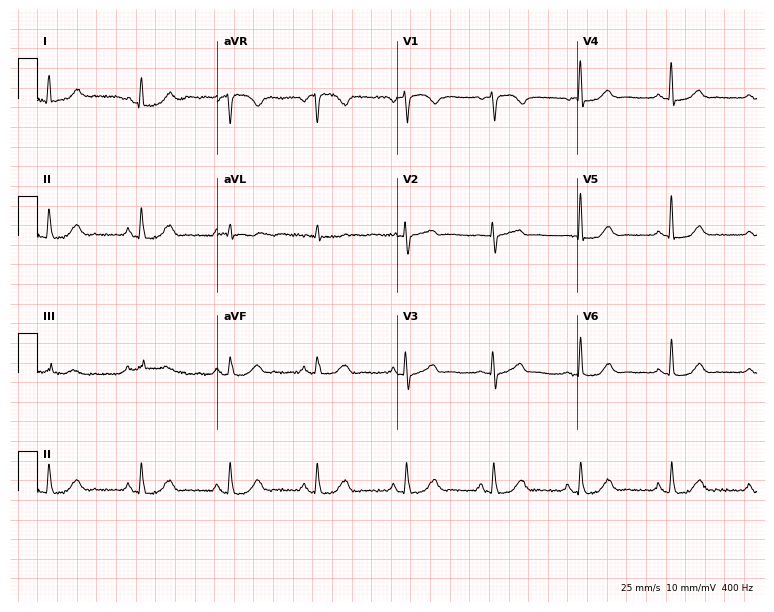
Resting 12-lead electrocardiogram. Patient: a 72-year-old female. Read as a normal ECG.